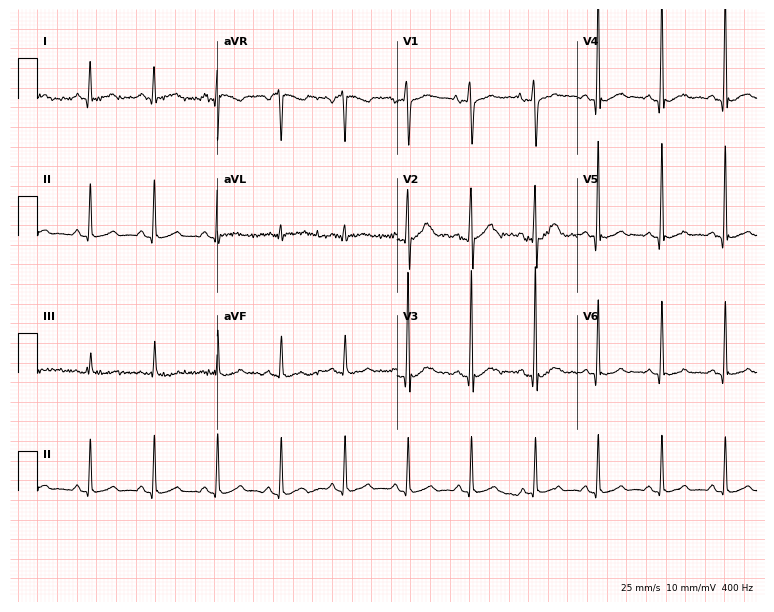
Resting 12-lead electrocardiogram. Patient: a male, 31 years old. None of these six findings is recorded: first-degree AV block, right bundle branch block, left bundle branch block, sinus bradycardia, atrial fibrillation, sinus tachycardia.